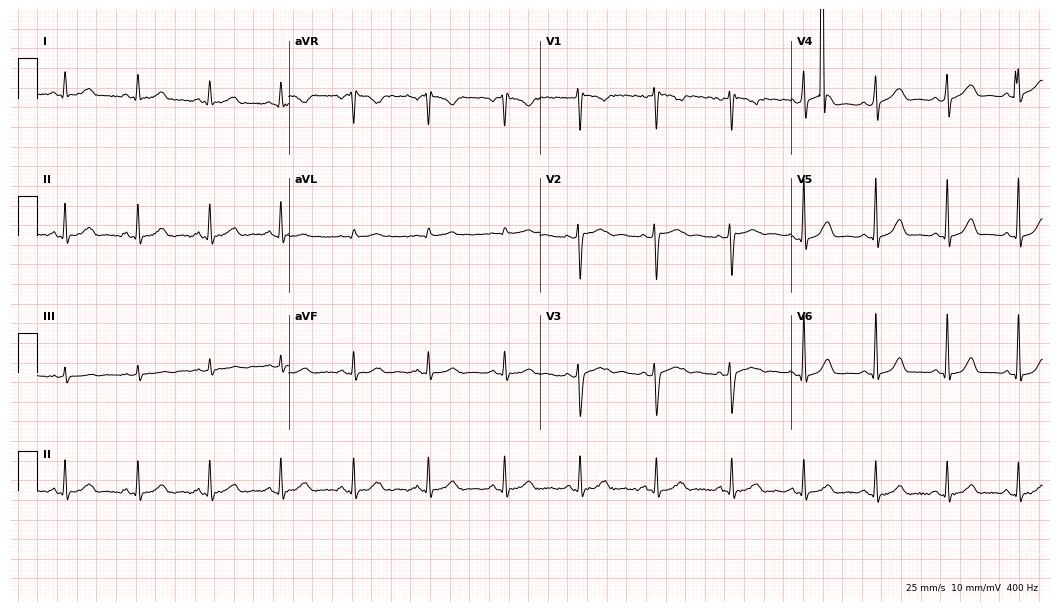
12-lead ECG from a female patient, 42 years old. Labelled as a normal ECG.